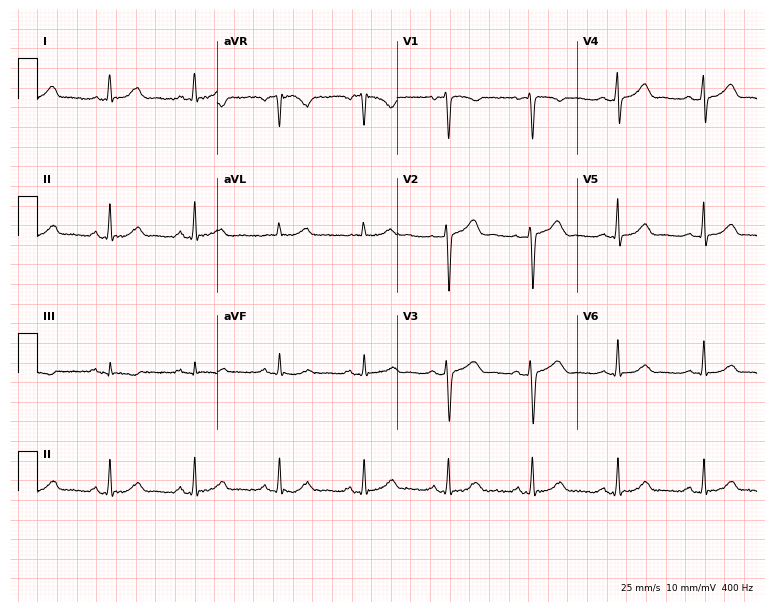
Standard 12-lead ECG recorded from a 64-year-old female (7.3-second recording at 400 Hz). Read as a normal ECG.